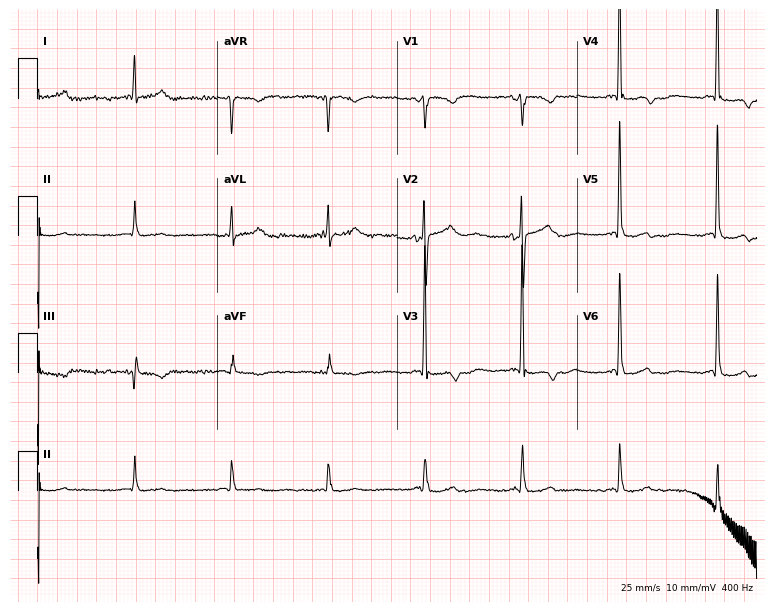
12-lead ECG from a female patient, 80 years old. Screened for six findings — first-degree AV block, right bundle branch block, left bundle branch block, sinus bradycardia, atrial fibrillation, sinus tachycardia — none is recorded. Findings outside these six are not listed.